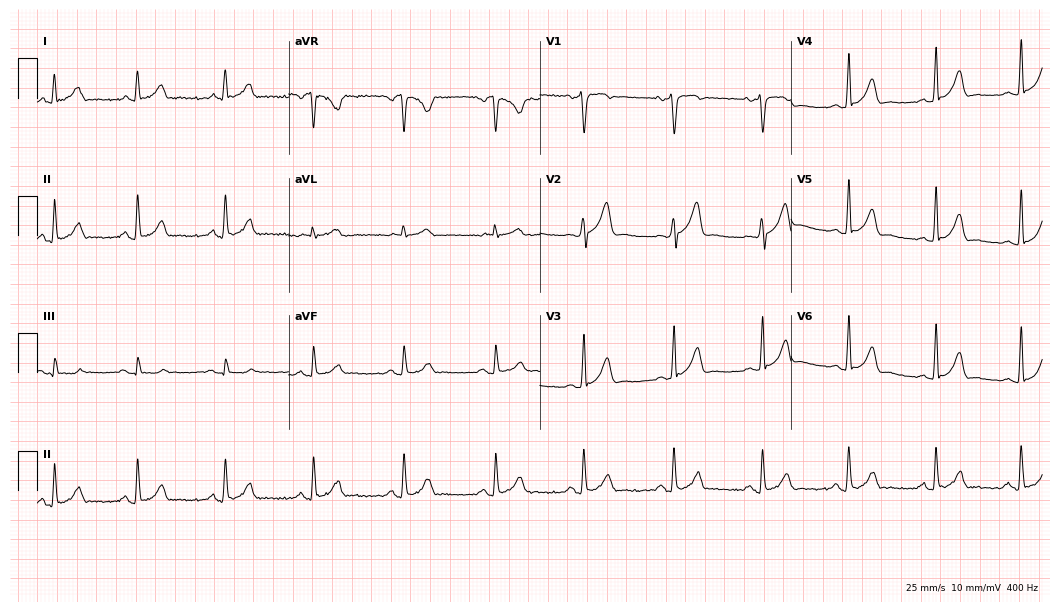
12-lead ECG from a man, 31 years old. Labelled as a normal ECG.